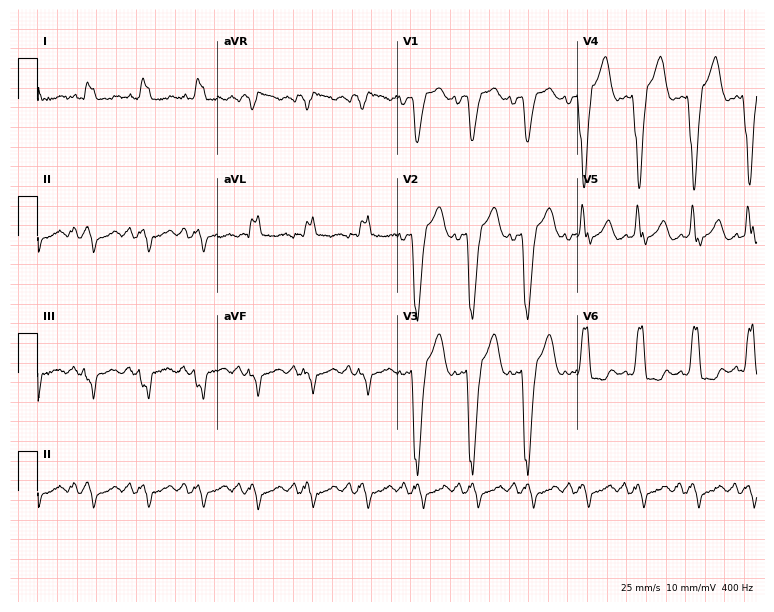
12-lead ECG from a 65-year-old female. Shows sinus tachycardia (a sinus rate of 100 beats per minute or more).